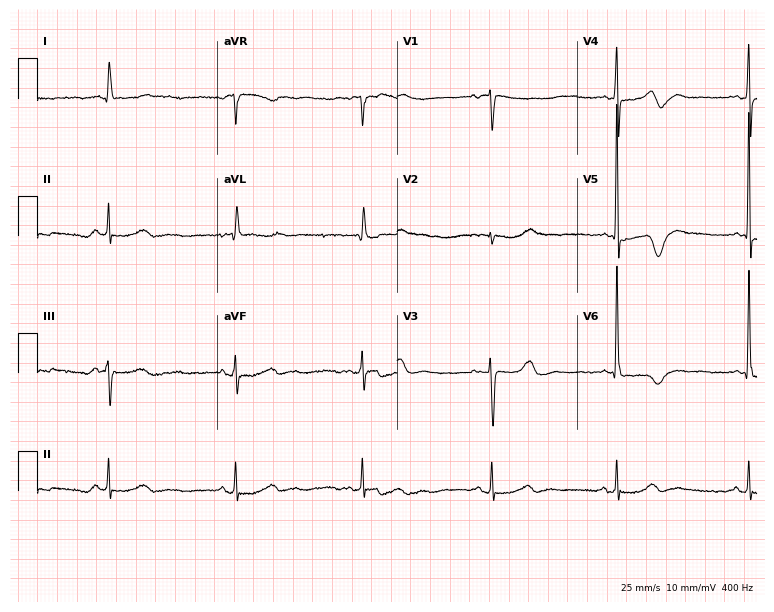
Electrocardiogram, a woman, 70 years old. Interpretation includes sinus bradycardia (a sinus rate of 50 beats per minute or less).